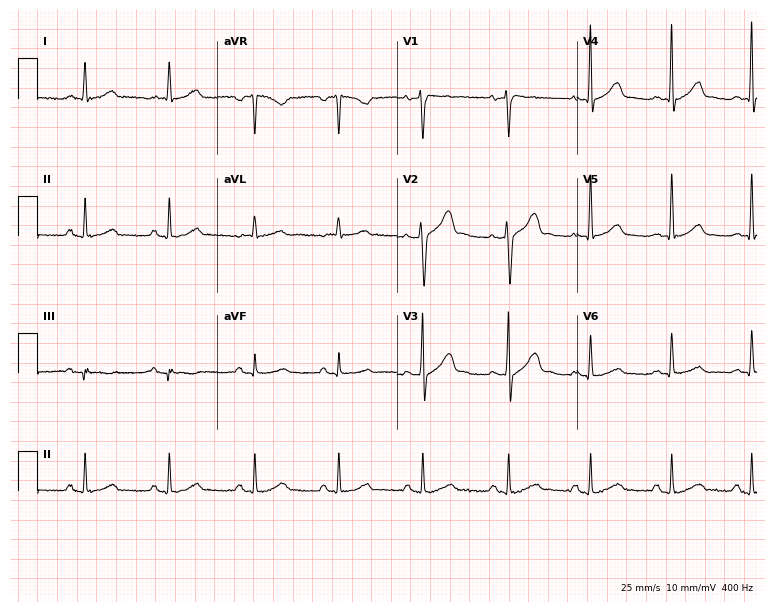
Standard 12-lead ECG recorded from a male, 53 years old (7.3-second recording at 400 Hz). Read as a normal ECG.